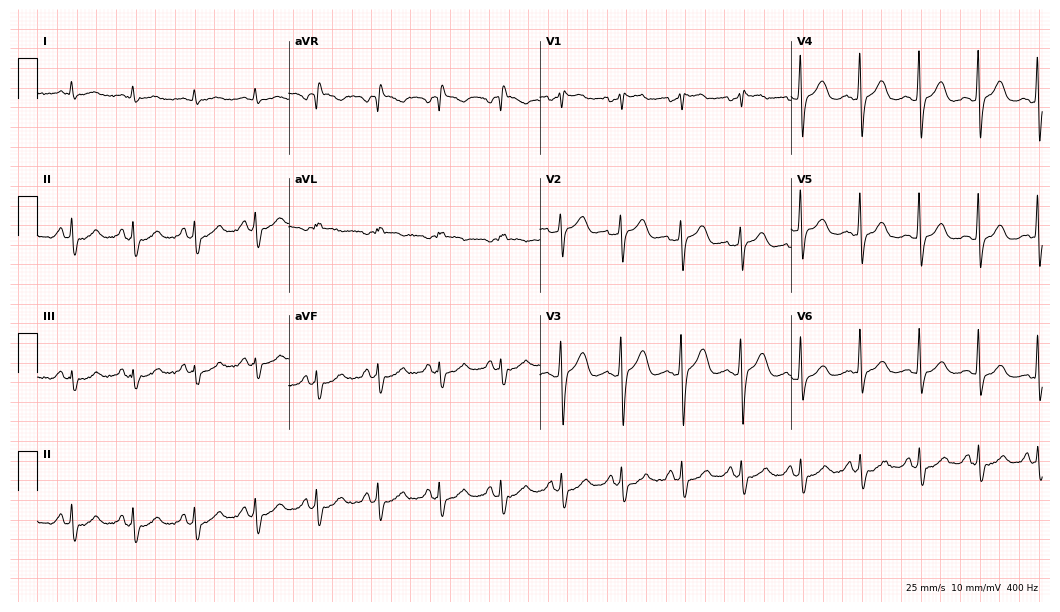
12-lead ECG (10.2-second recording at 400 Hz) from a 59-year-old male patient. Screened for six findings — first-degree AV block, right bundle branch block, left bundle branch block, sinus bradycardia, atrial fibrillation, sinus tachycardia — none is recorded.